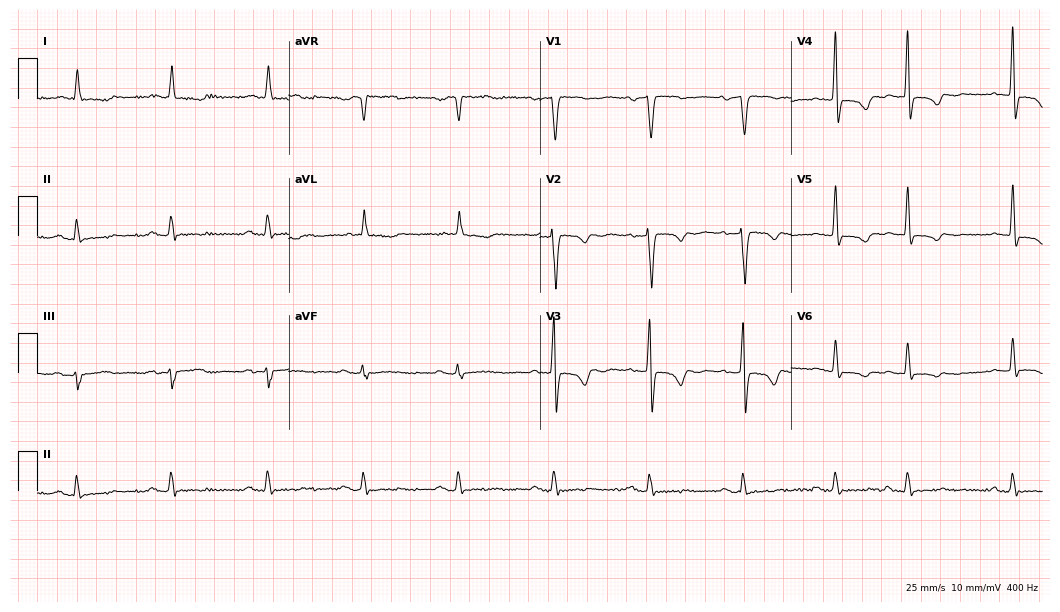
Resting 12-lead electrocardiogram. Patient: a female, 75 years old. None of these six findings is recorded: first-degree AV block, right bundle branch block, left bundle branch block, sinus bradycardia, atrial fibrillation, sinus tachycardia. Only these six findings were labelled.